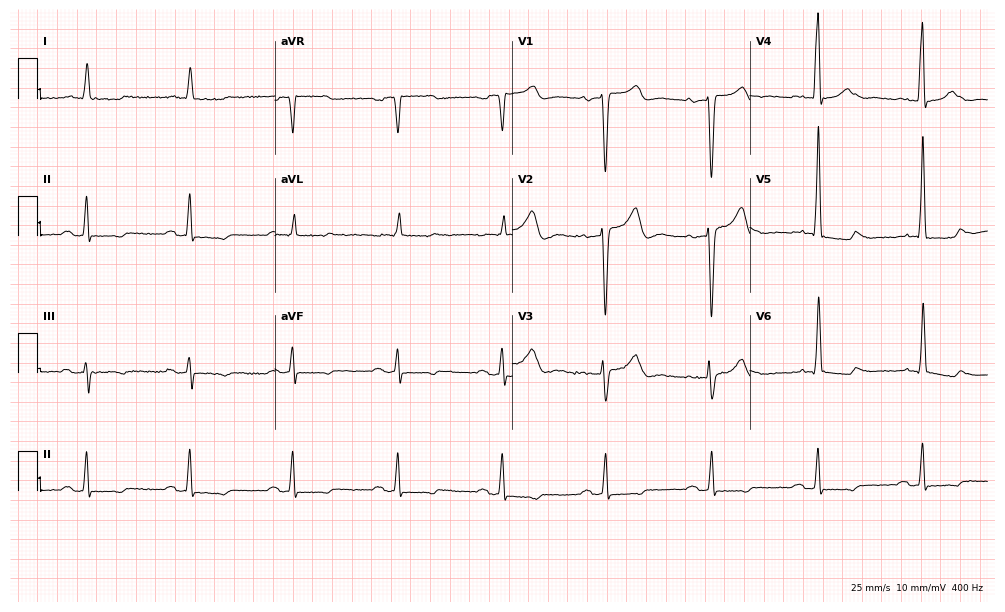
ECG — a 72-year-old male. Findings include first-degree AV block.